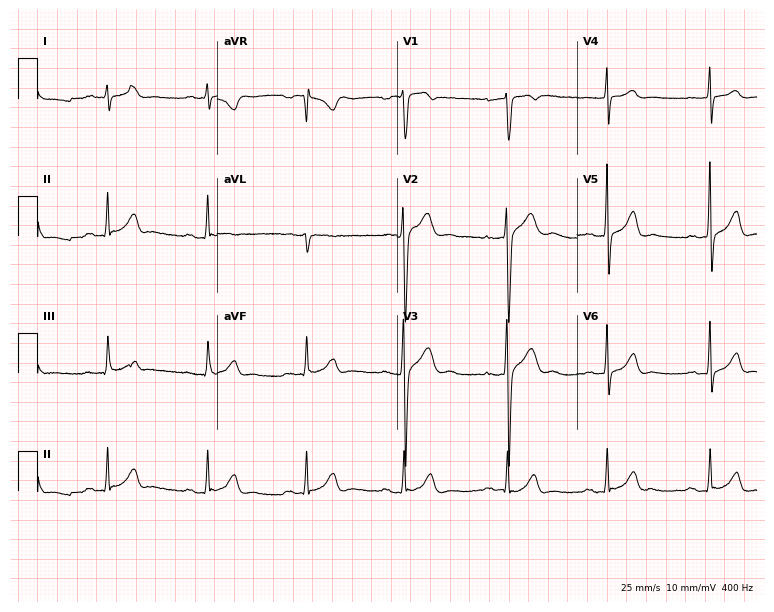
12-lead ECG from a male patient, 26 years old (7.3-second recording at 400 Hz). Recorded interpretation: within normal limits.